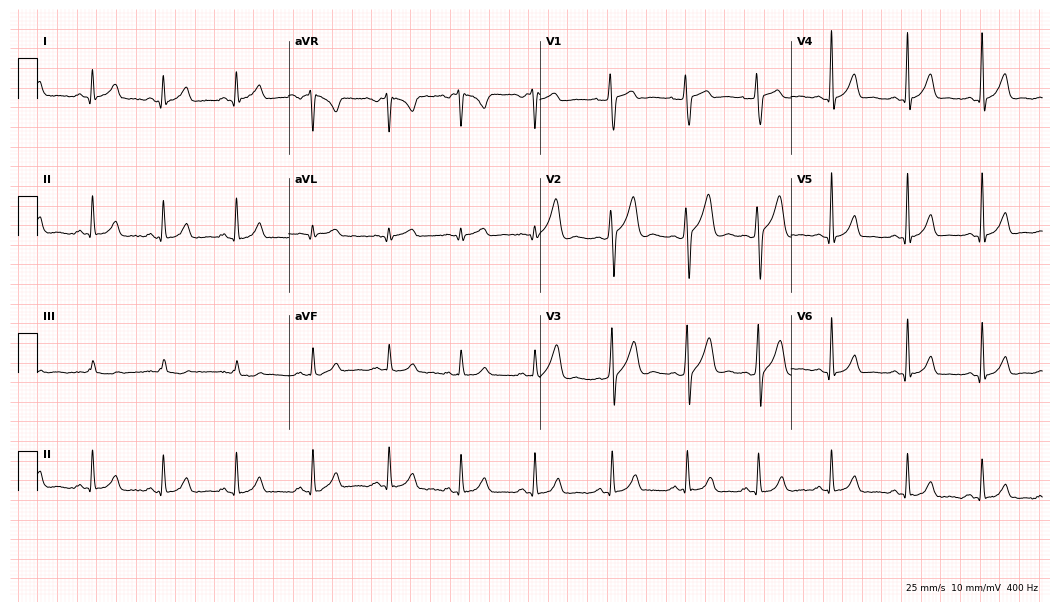
Standard 12-lead ECG recorded from a 23-year-old male. Read as a normal ECG.